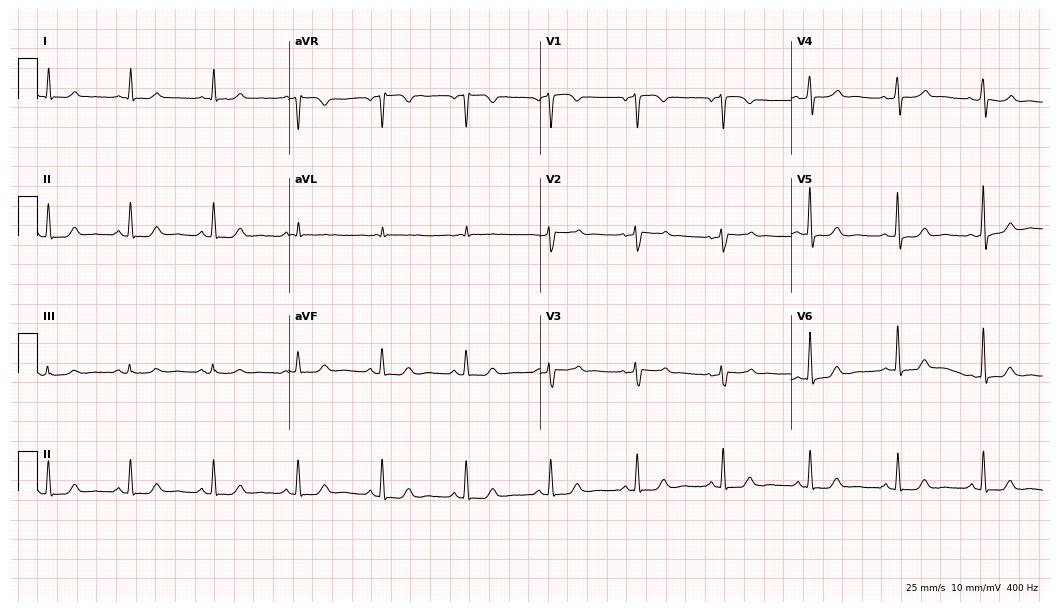
ECG (10.2-second recording at 400 Hz) — a 60-year-old female. Labelled as a normal ECG.